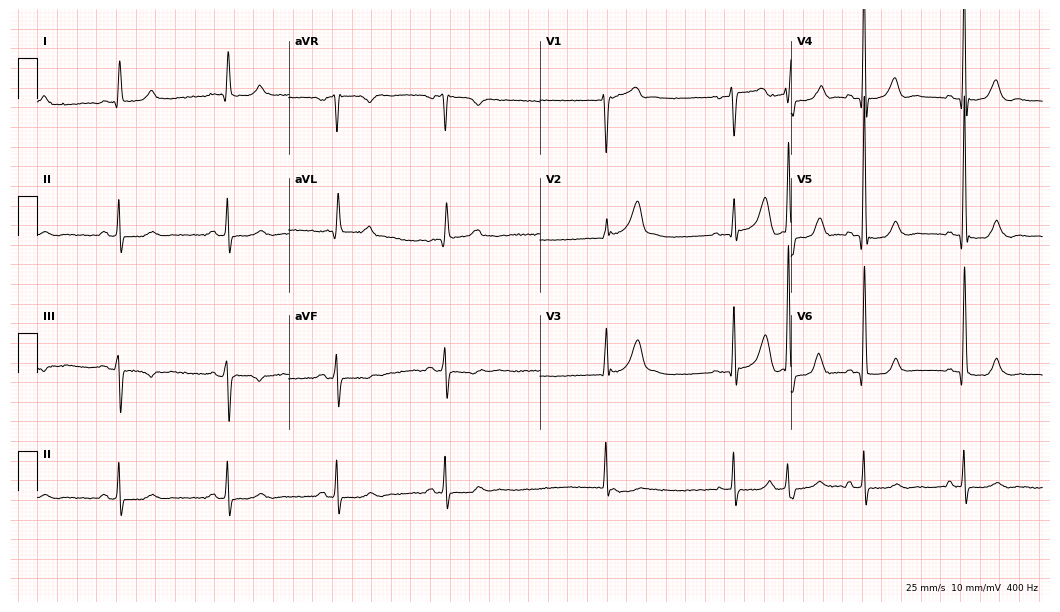
12-lead ECG from a 69-year-old male. Findings include sinus bradycardia (a sinus rate of 50 beats per minute or less).